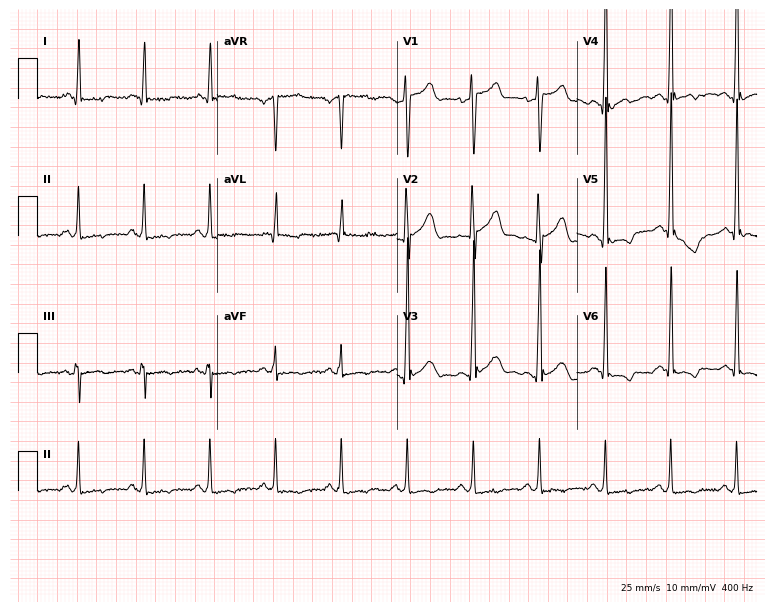
ECG (7.3-second recording at 400 Hz) — a male, 59 years old. Screened for six findings — first-degree AV block, right bundle branch block (RBBB), left bundle branch block (LBBB), sinus bradycardia, atrial fibrillation (AF), sinus tachycardia — none is recorded. Only these six findings were labelled.